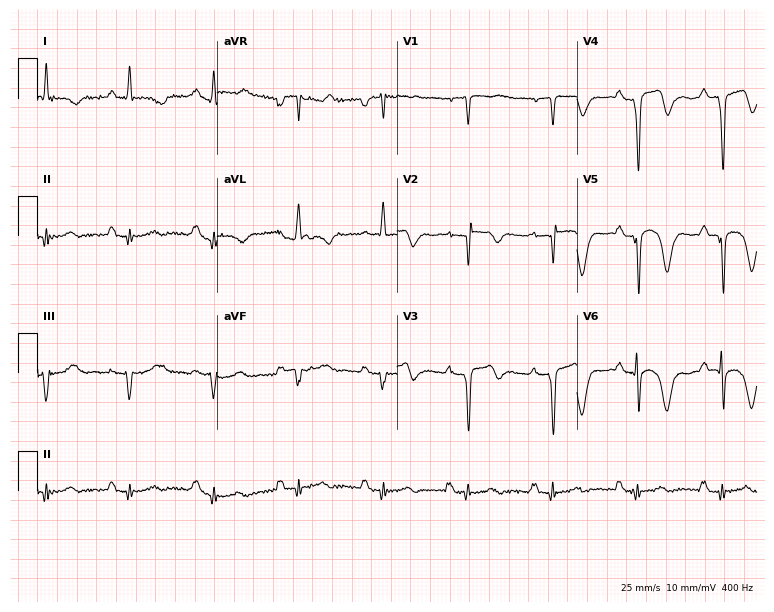
Resting 12-lead electrocardiogram. Patient: a 25-year-old male. None of these six findings is recorded: first-degree AV block, right bundle branch block, left bundle branch block, sinus bradycardia, atrial fibrillation, sinus tachycardia.